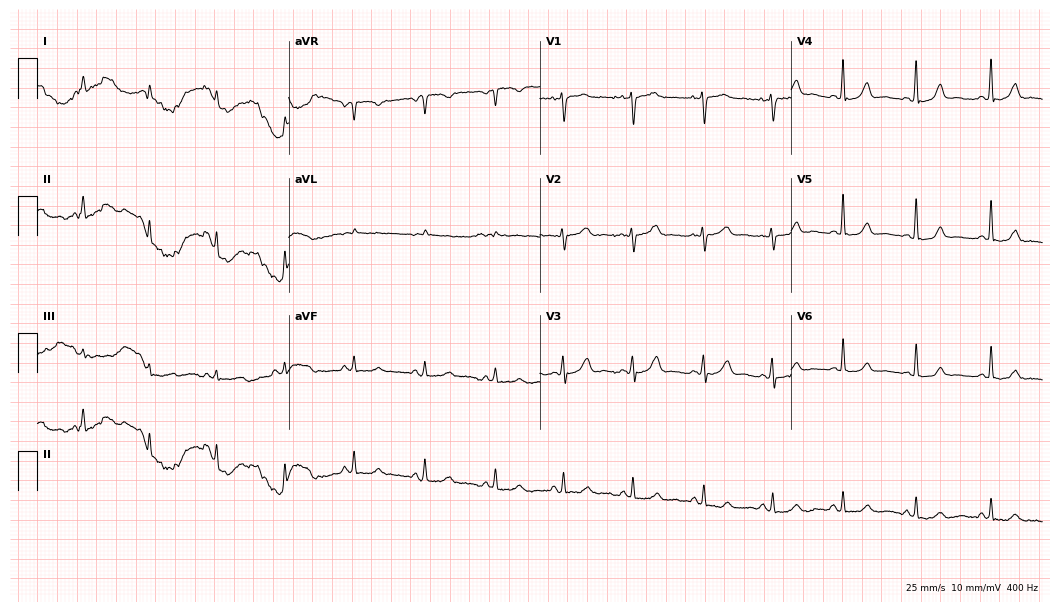
12-lead ECG from a 45-year-old female patient (10.2-second recording at 400 Hz). Recorded interpretation: within normal limits.